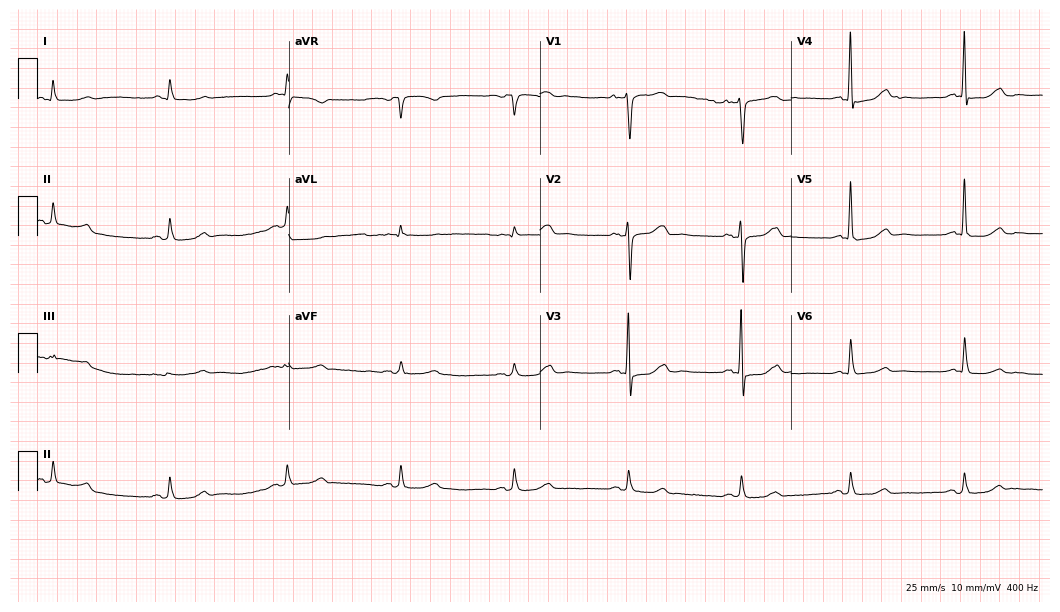
12-lead ECG from a 70-year-old male (10.2-second recording at 400 Hz). No first-degree AV block, right bundle branch block, left bundle branch block, sinus bradycardia, atrial fibrillation or sinus tachycardia recorded for this tracing.